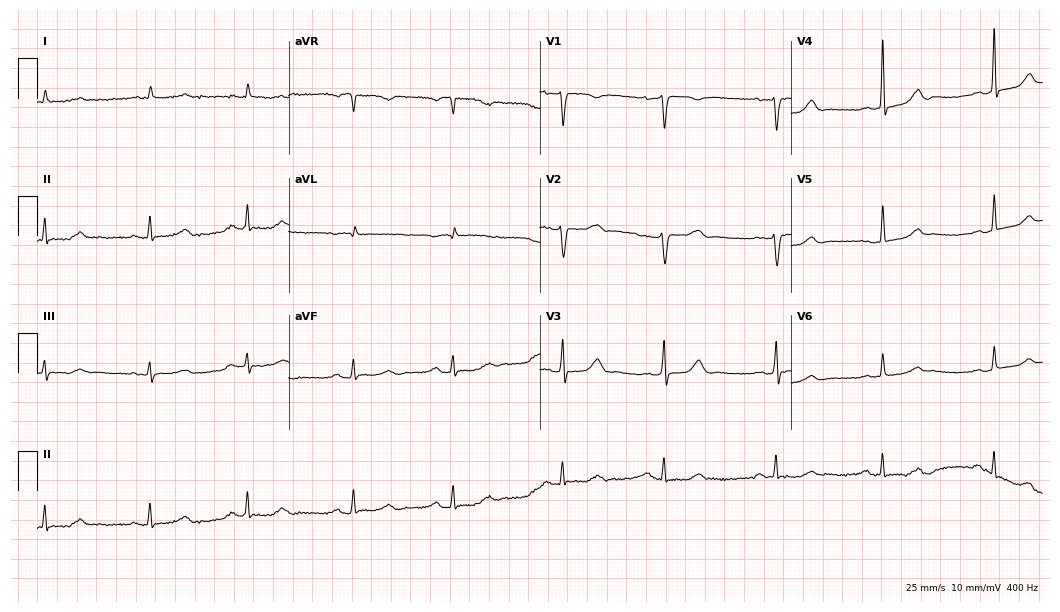
ECG (10.2-second recording at 400 Hz) — a female patient, 79 years old. Screened for six findings — first-degree AV block, right bundle branch block, left bundle branch block, sinus bradycardia, atrial fibrillation, sinus tachycardia — none is recorded.